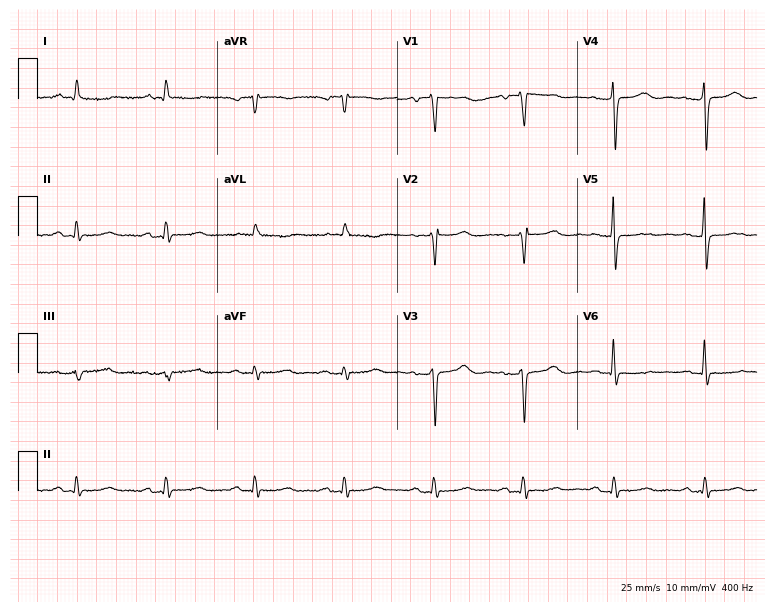
Resting 12-lead electrocardiogram (7.3-second recording at 400 Hz). Patient: a 75-year-old female. None of these six findings is recorded: first-degree AV block, right bundle branch block (RBBB), left bundle branch block (LBBB), sinus bradycardia, atrial fibrillation (AF), sinus tachycardia.